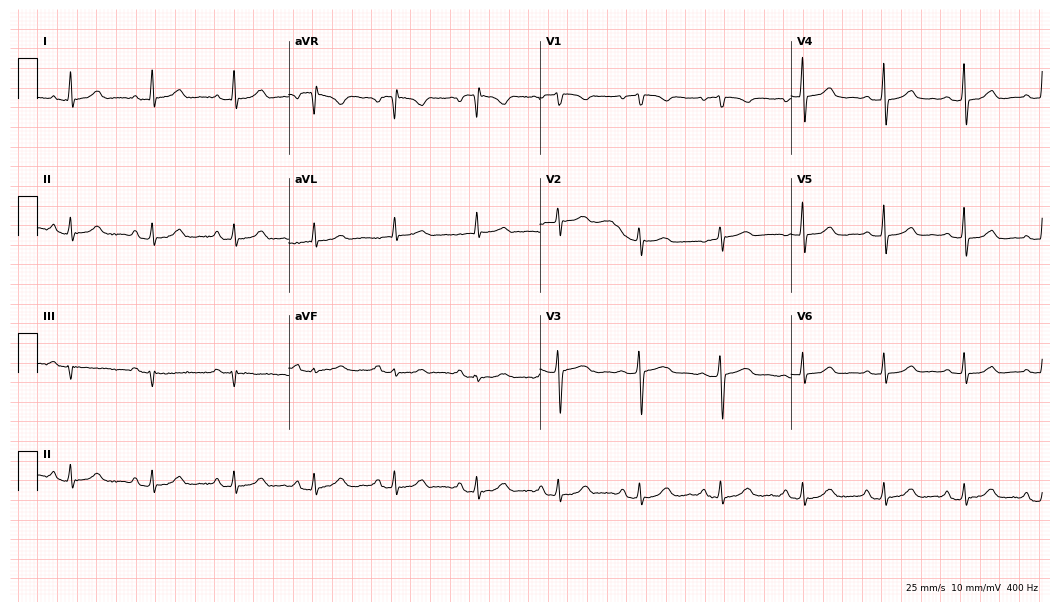
ECG (10.2-second recording at 400 Hz) — a 61-year-old female patient. Labelled as a normal ECG.